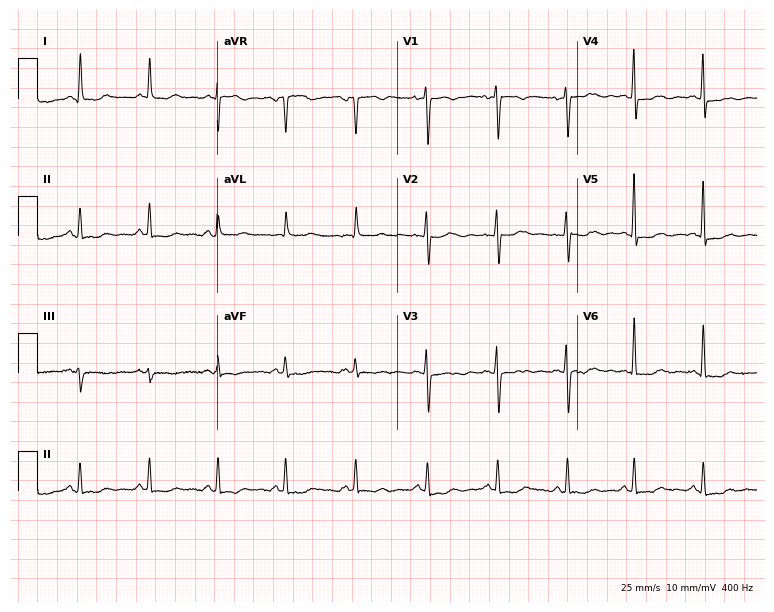
12-lead ECG from a 44-year-old woman. Screened for six findings — first-degree AV block, right bundle branch block (RBBB), left bundle branch block (LBBB), sinus bradycardia, atrial fibrillation (AF), sinus tachycardia — none is recorded.